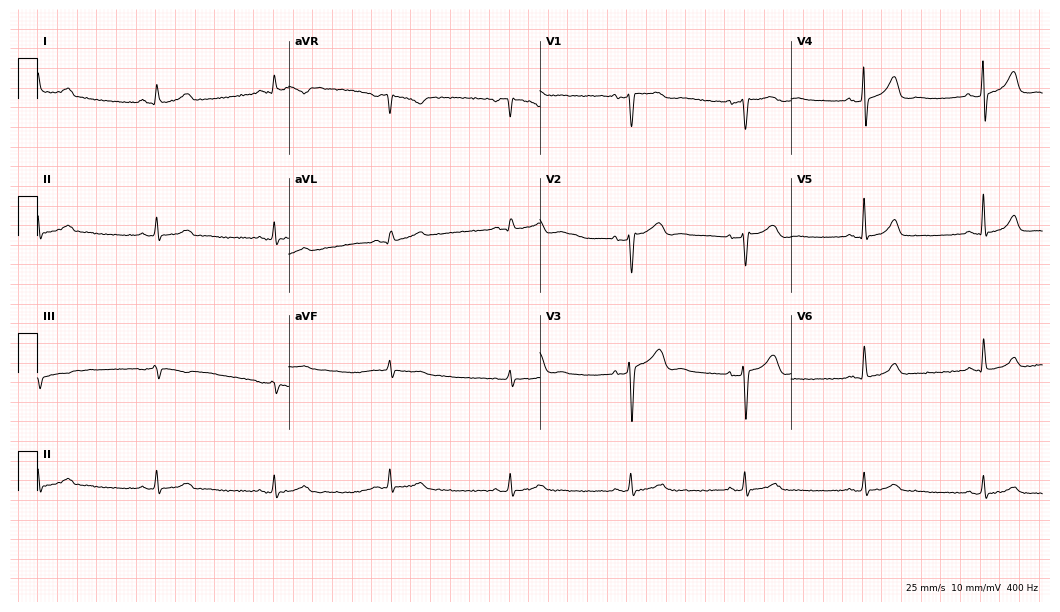
ECG (10.2-second recording at 400 Hz) — a 51-year-old man. Labelled as a normal ECG.